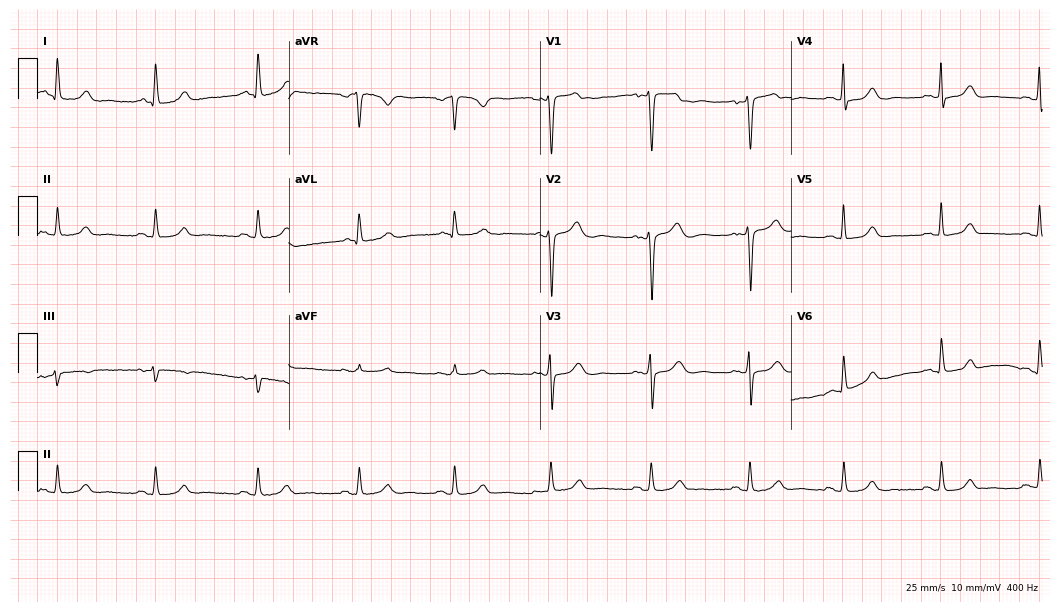
Standard 12-lead ECG recorded from a female, 47 years old (10.2-second recording at 400 Hz). None of these six findings is recorded: first-degree AV block, right bundle branch block, left bundle branch block, sinus bradycardia, atrial fibrillation, sinus tachycardia. Findings outside these six are not listed.